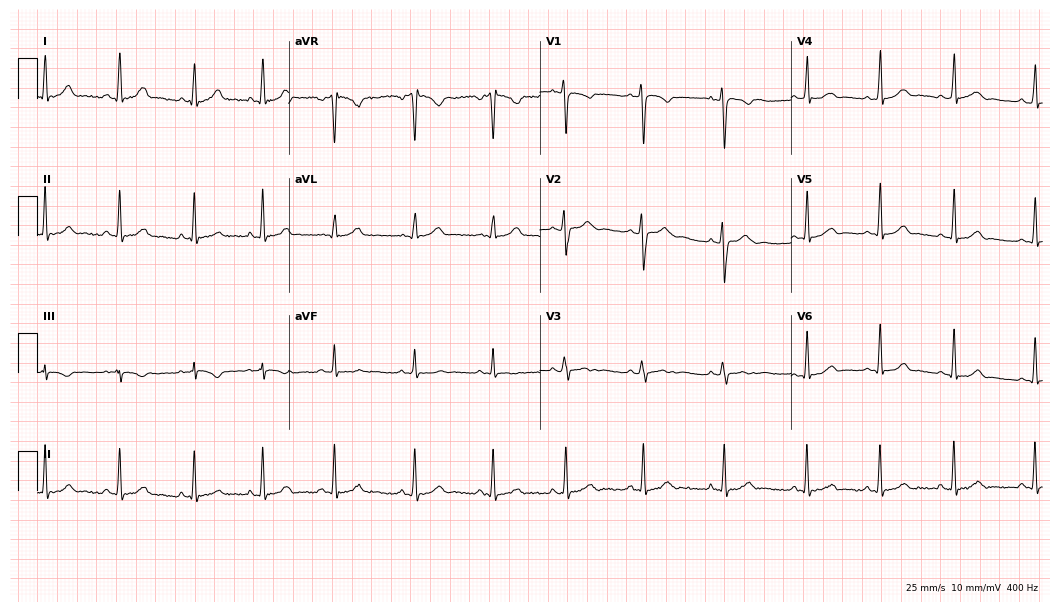
Standard 12-lead ECG recorded from a 20-year-old woman (10.2-second recording at 400 Hz). Read as a normal ECG.